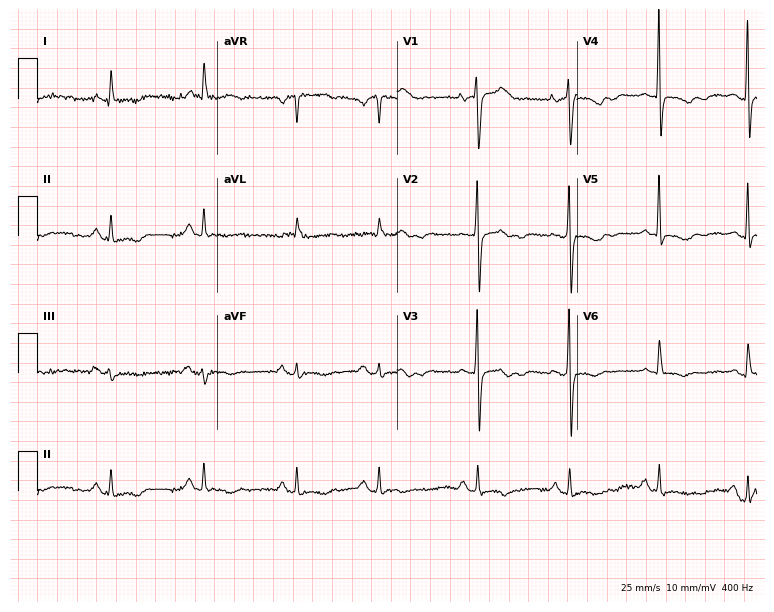
ECG — a 72-year-old woman. Screened for six findings — first-degree AV block, right bundle branch block, left bundle branch block, sinus bradycardia, atrial fibrillation, sinus tachycardia — none is recorded.